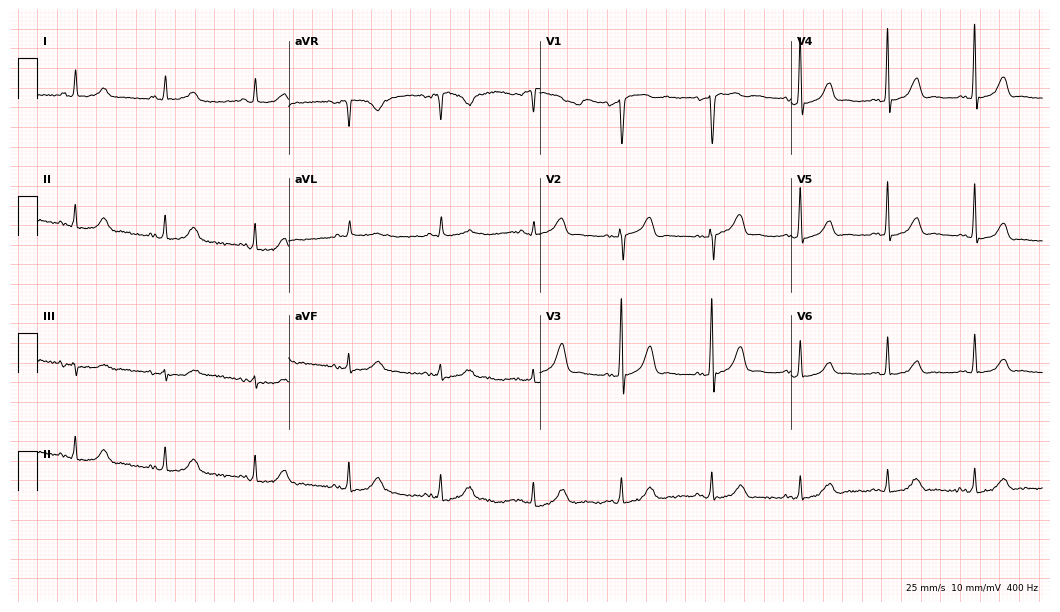
Resting 12-lead electrocardiogram. Patient: a woman, 67 years old. Read as a normal ECG.